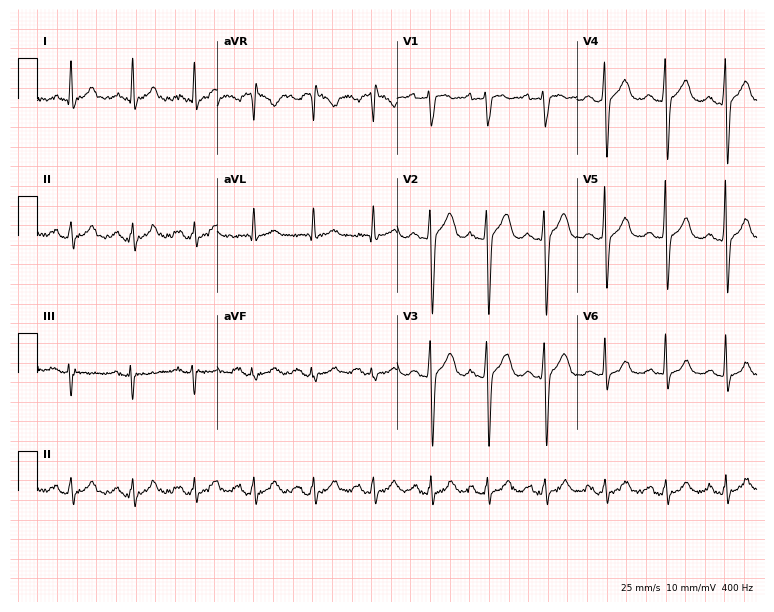
Standard 12-lead ECG recorded from a male patient, 49 years old (7.3-second recording at 400 Hz). None of these six findings is recorded: first-degree AV block, right bundle branch block, left bundle branch block, sinus bradycardia, atrial fibrillation, sinus tachycardia.